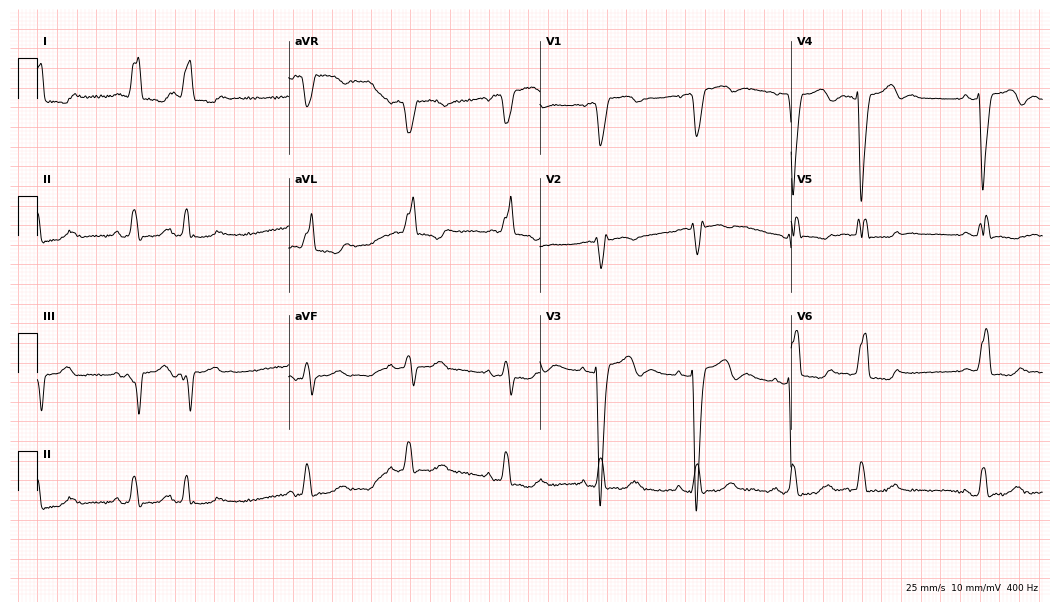
ECG (10.2-second recording at 400 Hz) — a female, 80 years old. Findings include left bundle branch block (LBBB).